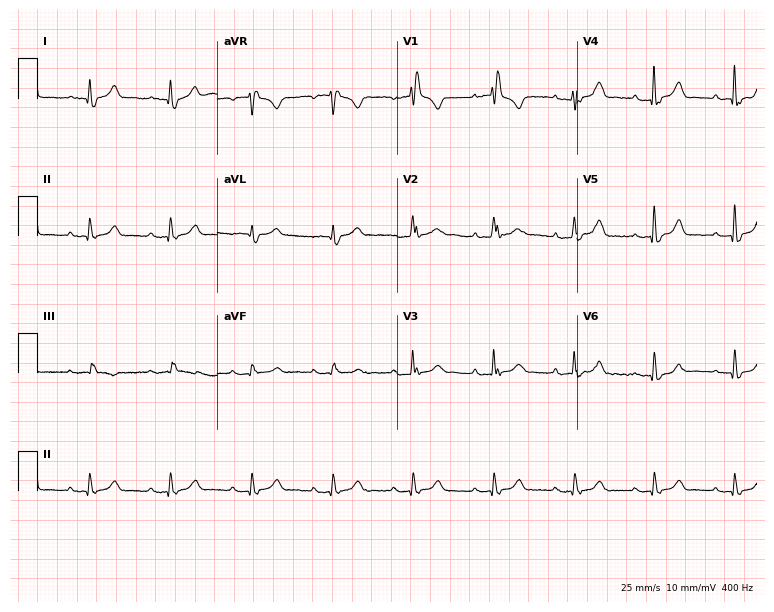
12-lead ECG from an 82-year-old male. Shows right bundle branch block.